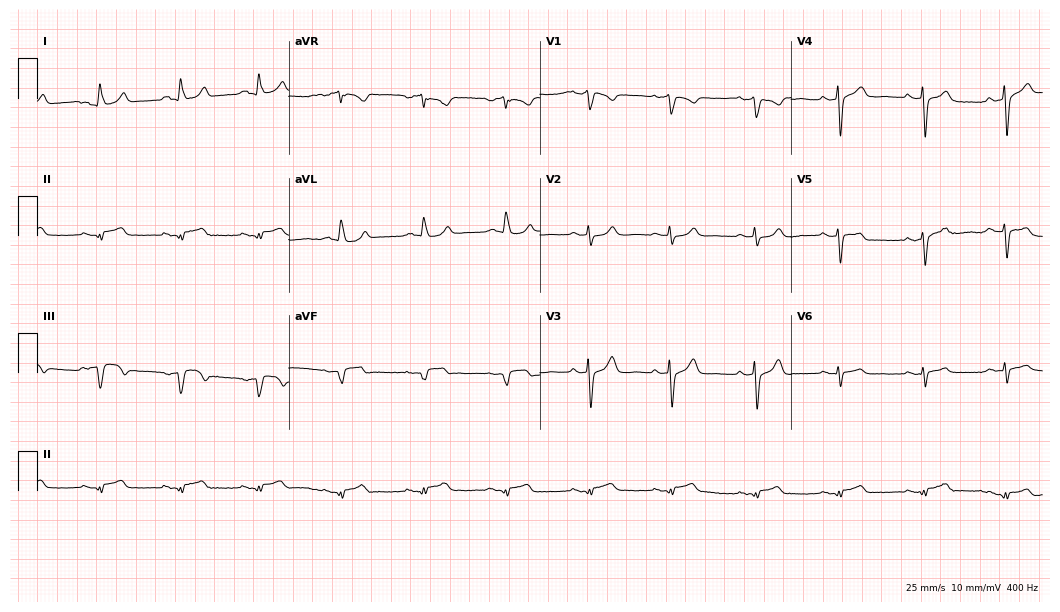
Standard 12-lead ECG recorded from a man, 78 years old (10.2-second recording at 400 Hz). None of these six findings is recorded: first-degree AV block, right bundle branch block, left bundle branch block, sinus bradycardia, atrial fibrillation, sinus tachycardia.